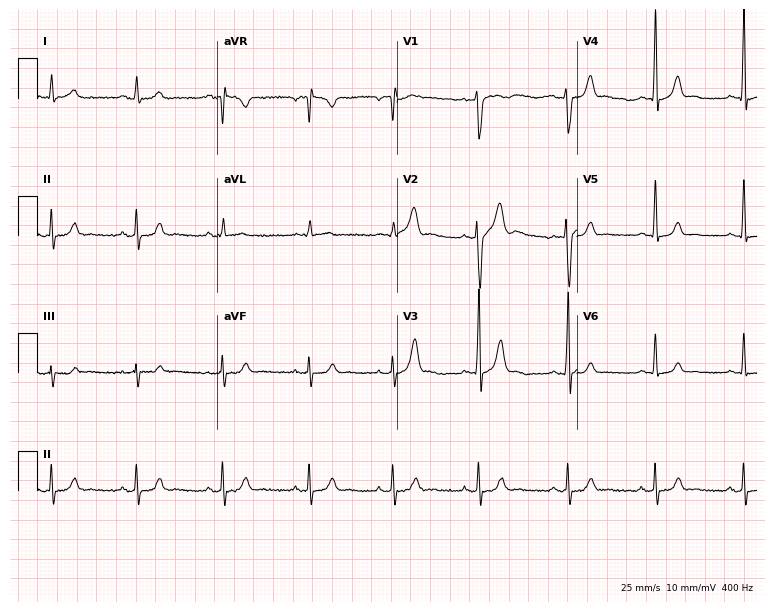
Standard 12-lead ECG recorded from a male, 27 years old. None of these six findings is recorded: first-degree AV block, right bundle branch block, left bundle branch block, sinus bradycardia, atrial fibrillation, sinus tachycardia.